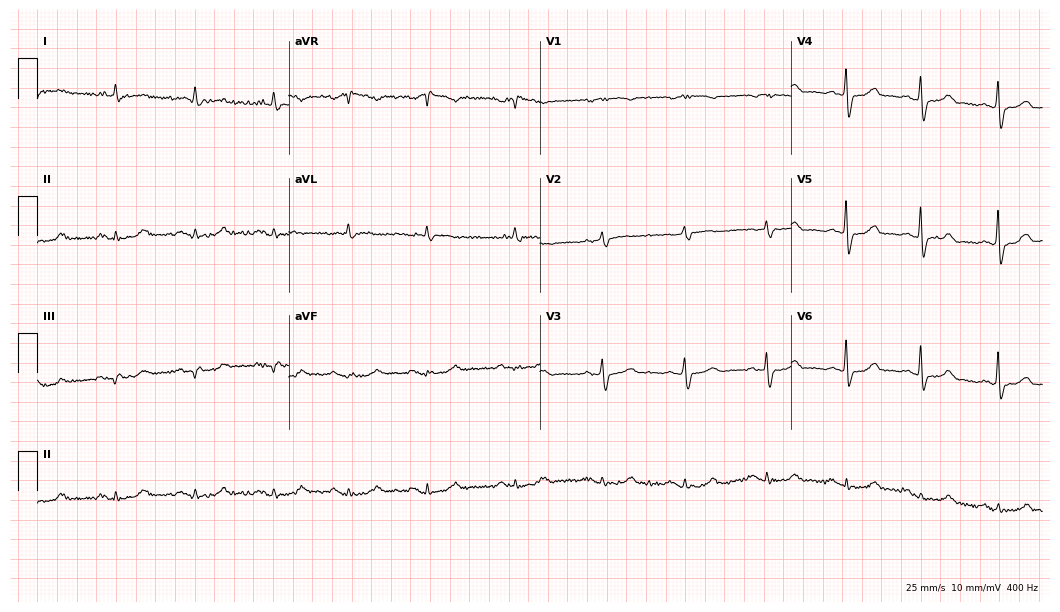
Resting 12-lead electrocardiogram. Patient: a man, 80 years old. None of these six findings is recorded: first-degree AV block, right bundle branch block (RBBB), left bundle branch block (LBBB), sinus bradycardia, atrial fibrillation (AF), sinus tachycardia.